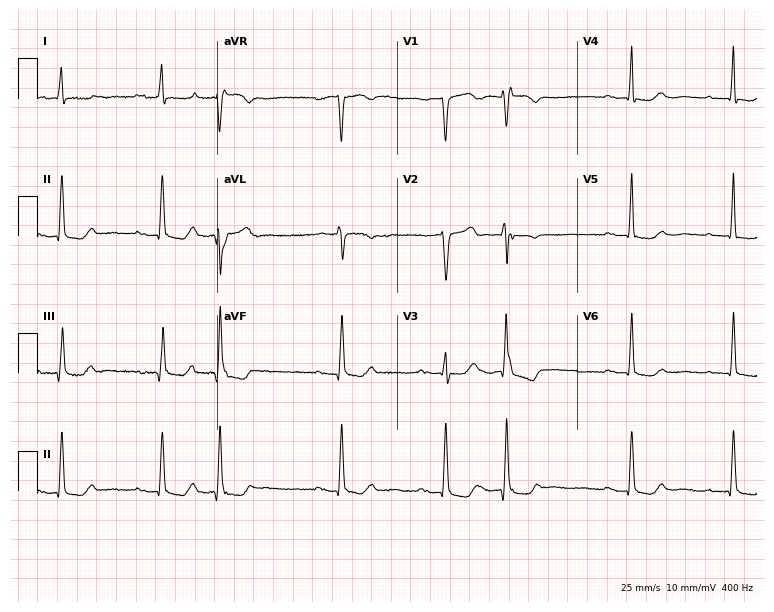
Electrocardiogram, a woman, 70 years old. Of the six screened findings (first-degree AV block, right bundle branch block (RBBB), left bundle branch block (LBBB), sinus bradycardia, atrial fibrillation (AF), sinus tachycardia), none is recorded.